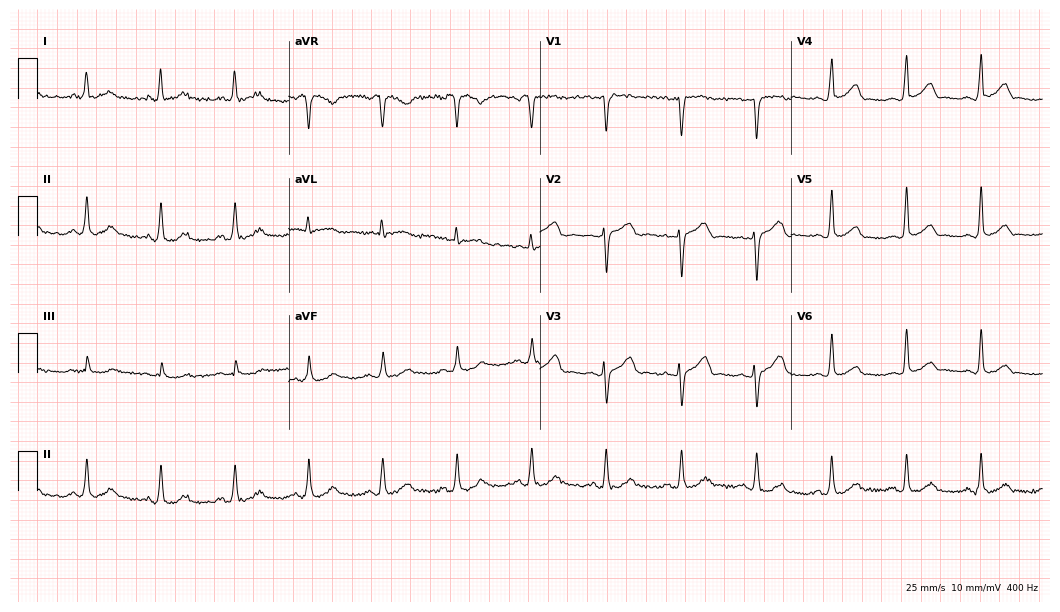
12-lead ECG from a woman, 55 years old. Recorded interpretation: within normal limits.